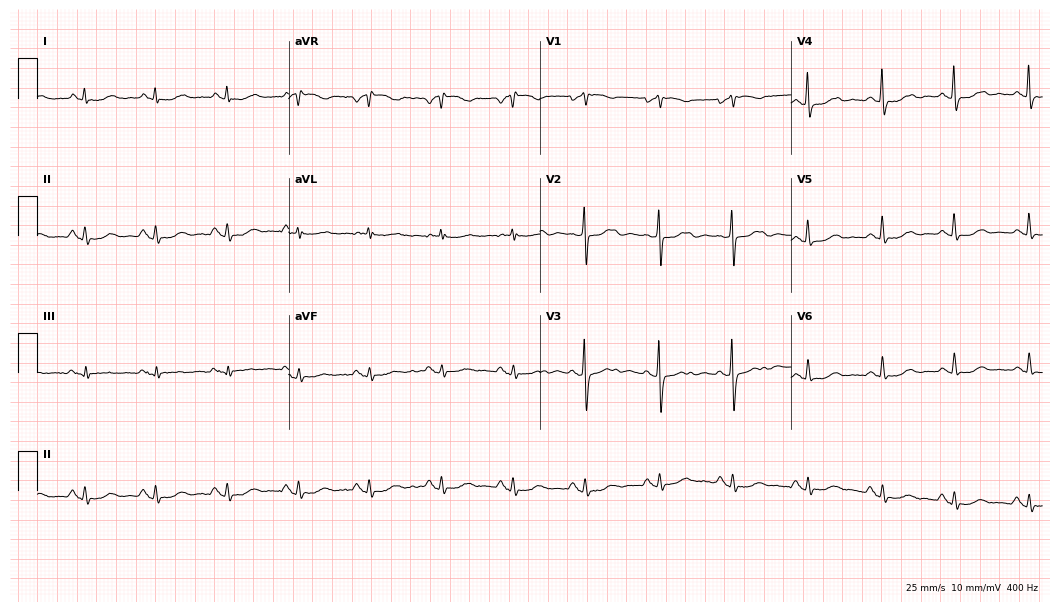
Resting 12-lead electrocardiogram. Patient: a 63-year-old female. Read as a normal ECG.